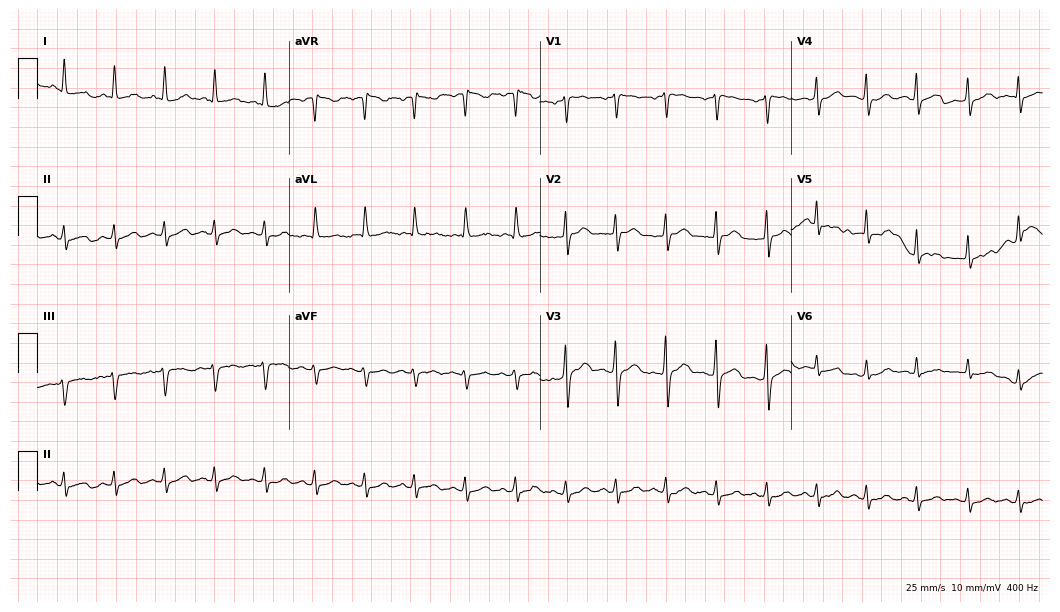
12-lead ECG from a 77-year-old male. Shows sinus tachycardia (a sinus rate of 100 beats per minute or more).